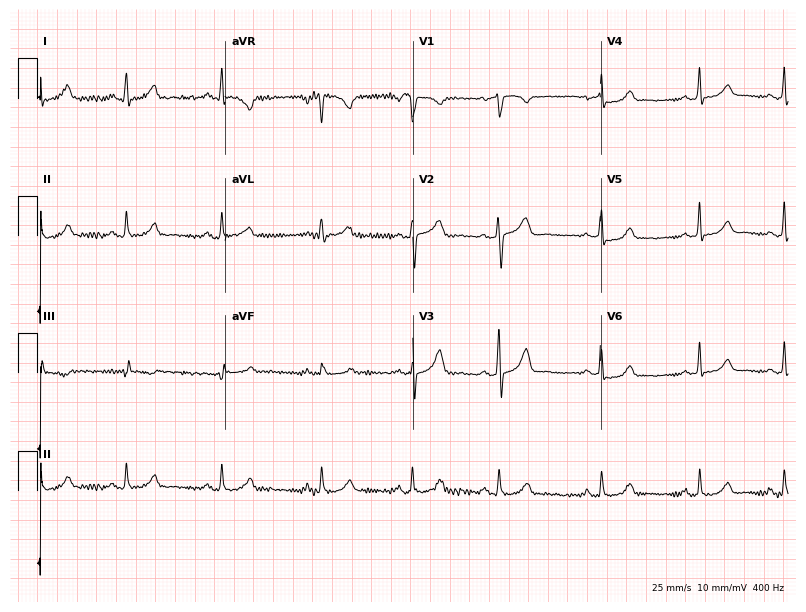
12-lead ECG (7.7-second recording at 400 Hz) from a 32-year-old woman. Screened for six findings — first-degree AV block, right bundle branch block, left bundle branch block, sinus bradycardia, atrial fibrillation, sinus tachycardia — none is recorded.